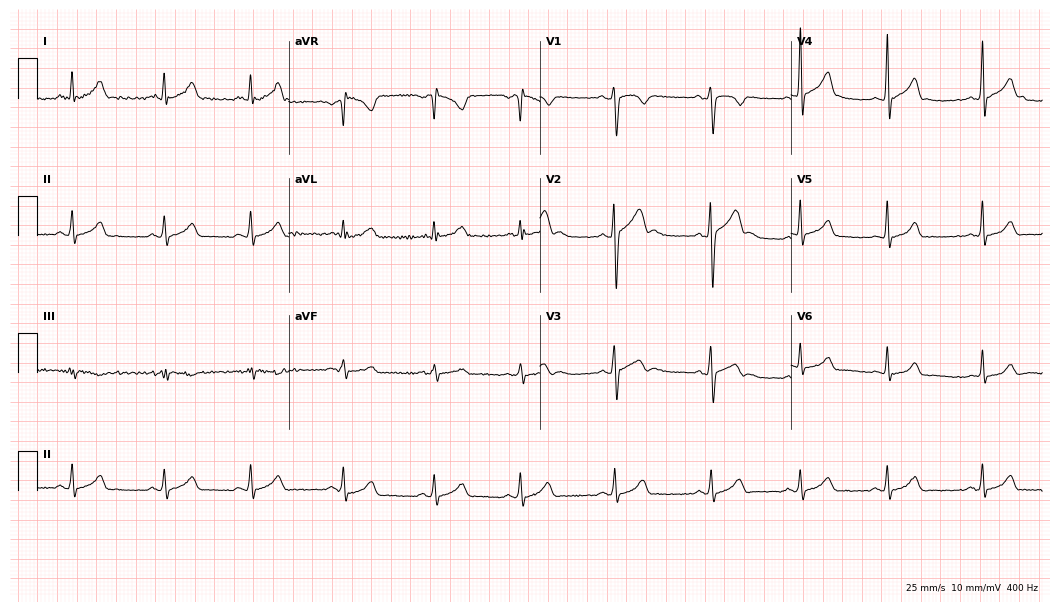
ECG — a male, 23 years old. Labelled as a normal ECG.